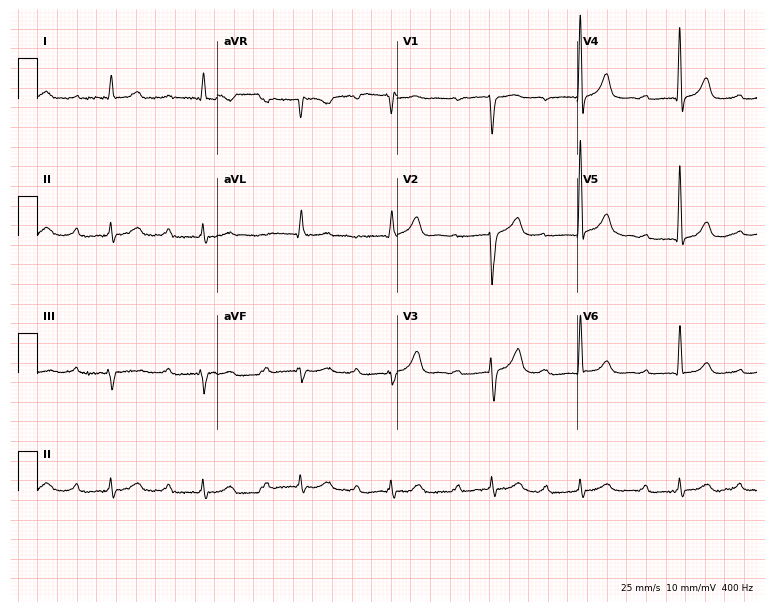
Electrocardiogram, a man, 77 years old. Interpretation includes first-degree AV block.